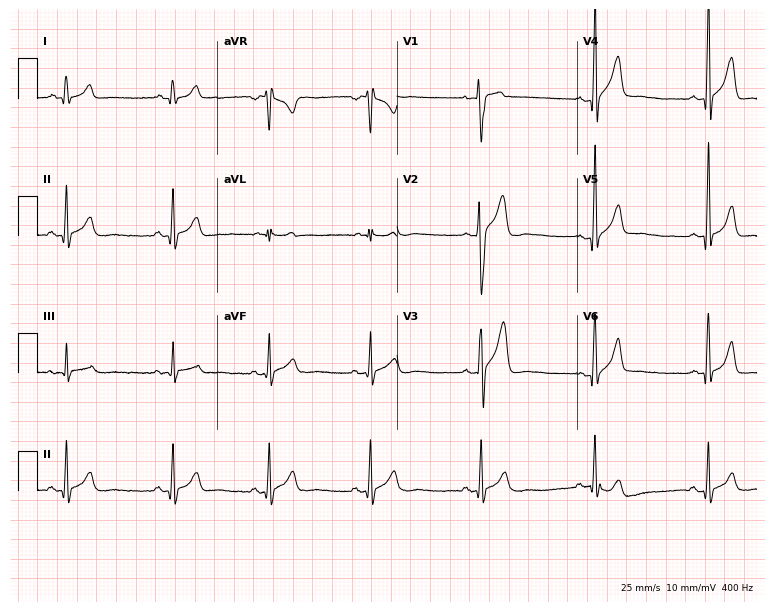
12-lead ECG from a man, 34 years old. Recorded interpretation: within normal limits.